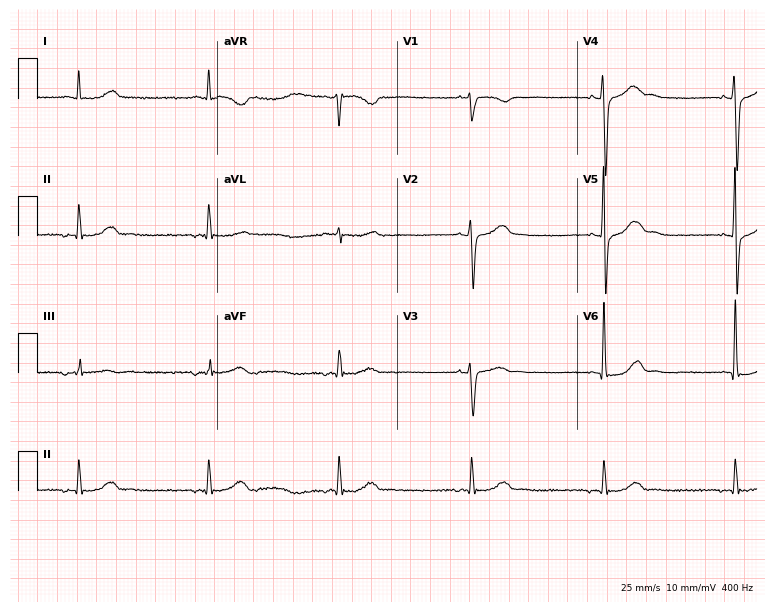
Standard 12-lead ECG recorded from a 72-year-old male (7.3-second recording at 400 Hz). None of these six findings is recorded: first-degree AV block, right bundle branch block, left bundle branch block, sinus bradycardia, atrial fibrillation, sinus tachycardia.